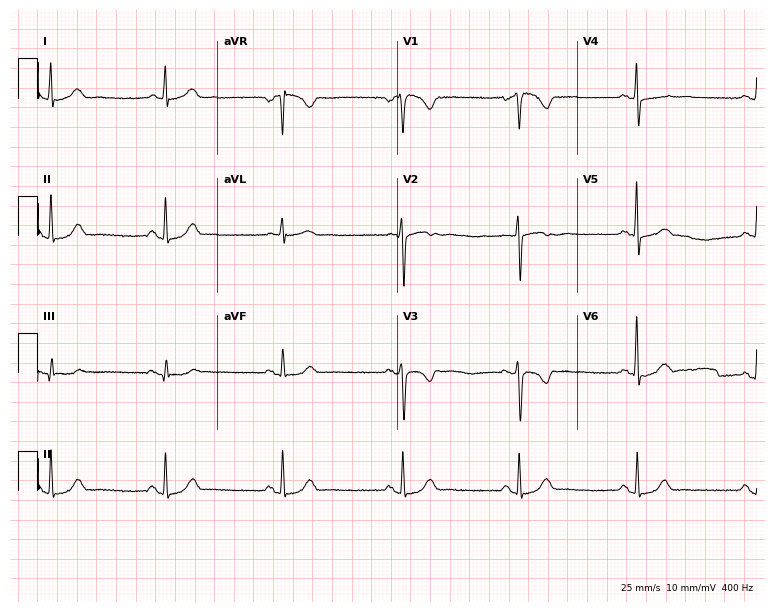
Standard 12-lead ECG recorded from a woman, 62 years old (7.3-second recording at 400 Hz). Read as a normal ECG.